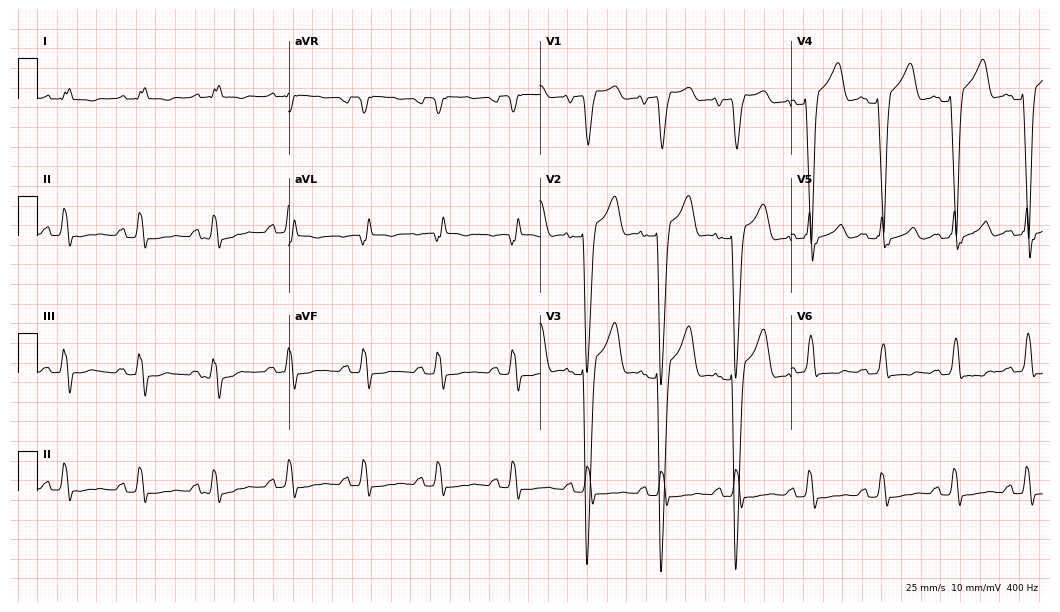
Resting 12-lead electrocardiogram (10.2-second recording at 400 Hz). Patient: an 84-year-old male. The tracing shows left bundle branch block.